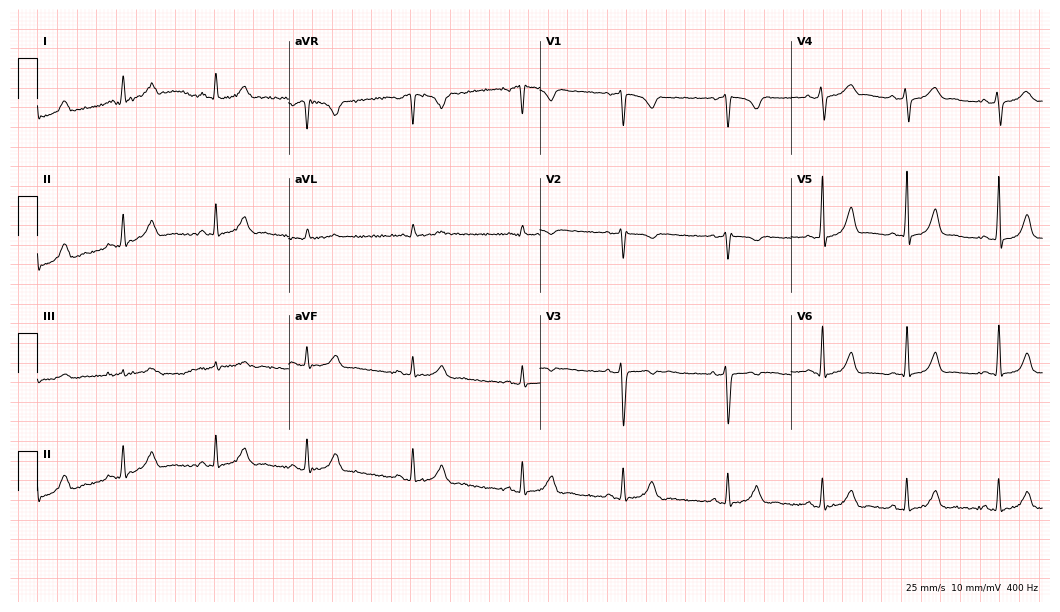
Electrocardiogram (10.2-second recording at 400 Hz), a 19-year-old female. Overall reading on record: normal ECG.